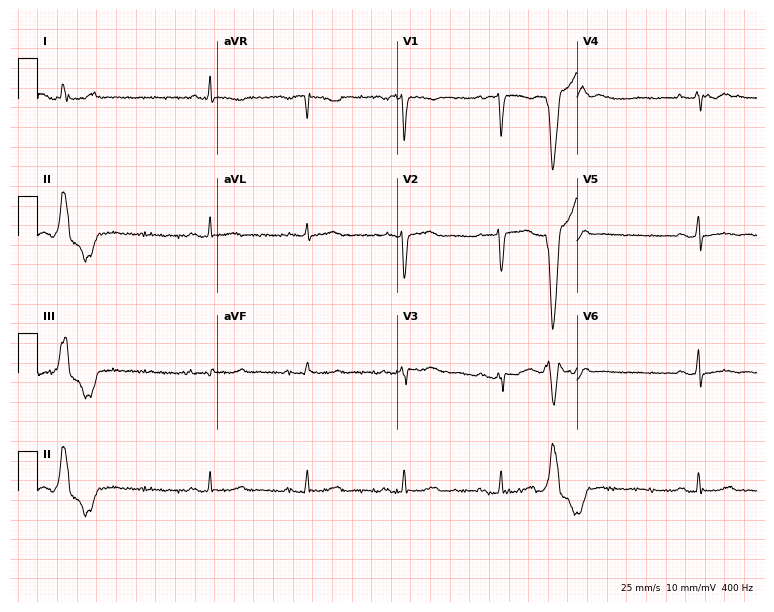
ECG — a female patient, 74 years old. Screened for six findings — first-degree AV block, right bundle branch block, left bundle branch block, sinus bradycardia, atrial fibrillation, sinus tachycardia — none is recorded.